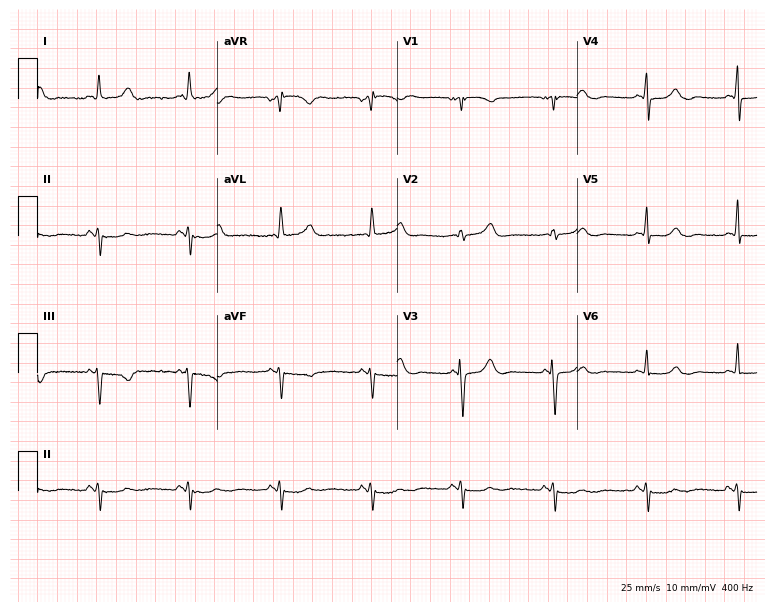
Resting 12-lead electrocardiogram (7.3-second recording at 400 Hz). Patient: a 69-year-old female. None of these six findings is recorded: first-degree AV block, right bundle branch block (RBBB), left bundle branch block (LBBB), sinus bradycardia, atrial fibrillation (AF), sinus tachycardia.